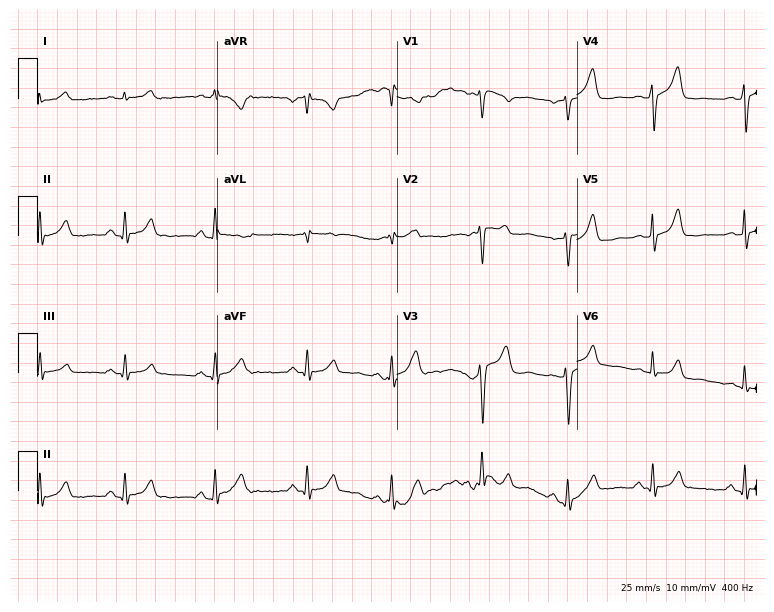
12-lead ECG from a 41-year-old male patient. Screened for six findings — first-degree AV block, right bundle branch block (RBBB), left bundle branch block (LBBB), sinus bradycardia, atrial fibrillation (AF), sinus tachycardia — none is recorded. Only these six findings were labelled.